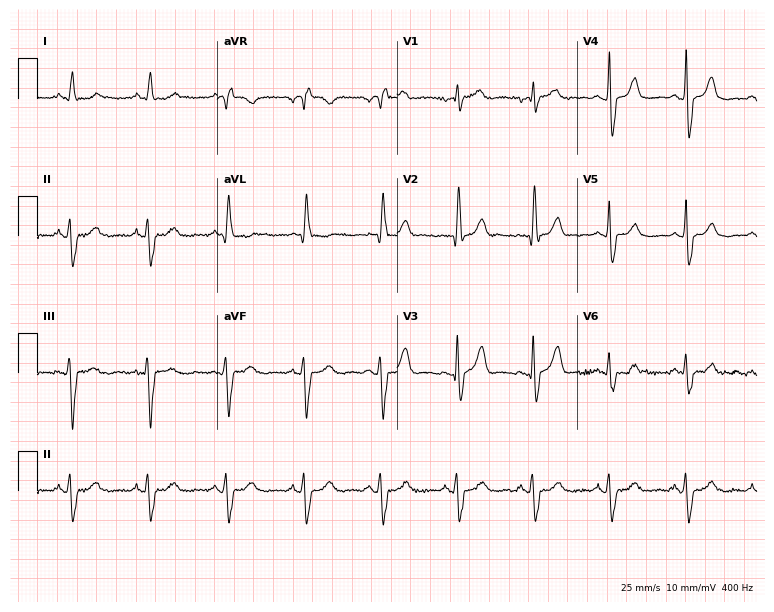
Resting 12-lead electrocardiogram. Patient: a woman, 76 years old. None of these six findings is recorded: first-degree AV block, right bundle branch block, left bundle branch block, sinus bradycardia, atrial fibrillation, sinus tachycardia. Other findings, if any, are not listed.